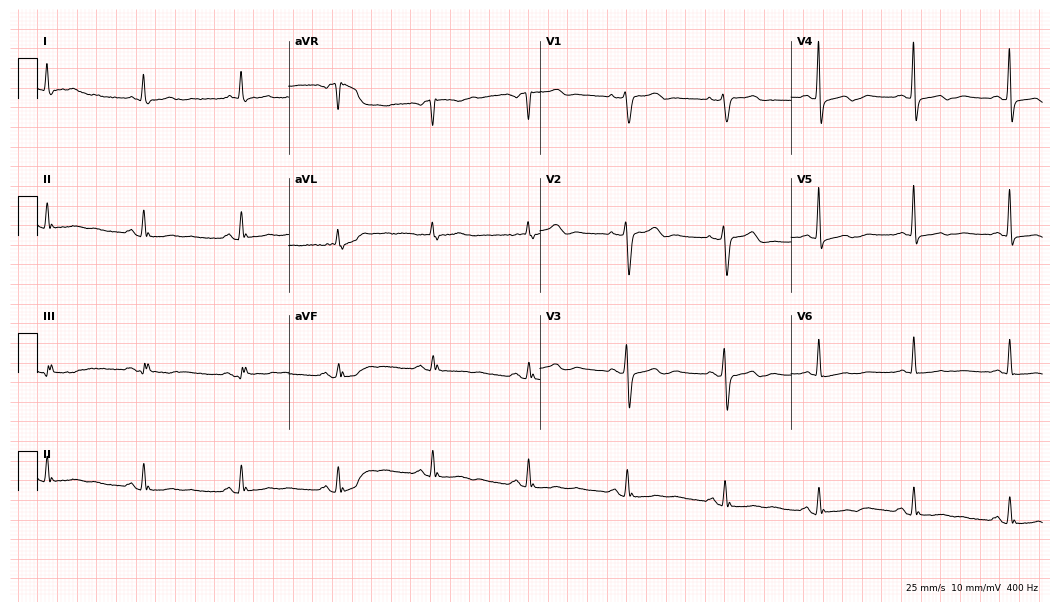
Resting 12-lead electrocardiogram (10.2-second recording at 400 Hz). Patient: a 63-year-old female. None of these six findings is recorded: first-degree AV block, right bundle branch block, left bundle branch block, sinus bradycardia, atrial fibrillation, sinus tachycardia.